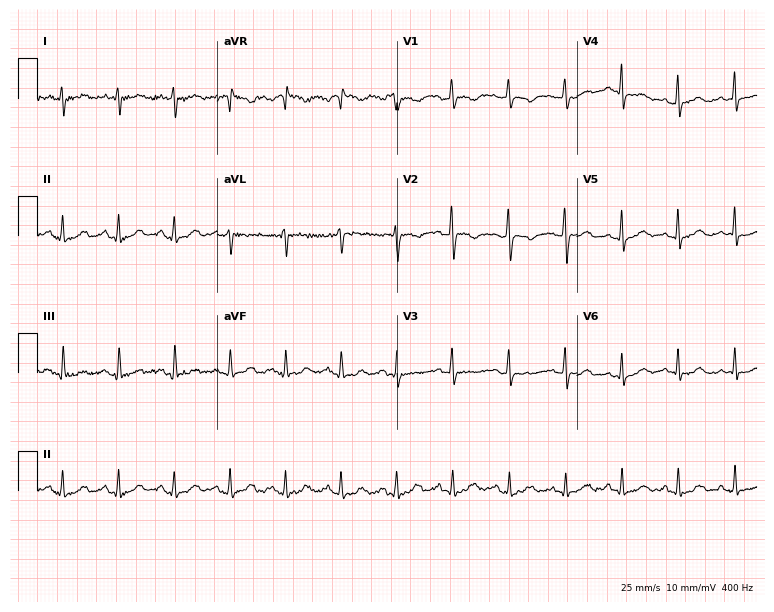
12-lead ECG from a woman, 42 years old. Findings include sinus tachycardia (a sinus rate of 100 beats per minute or more).